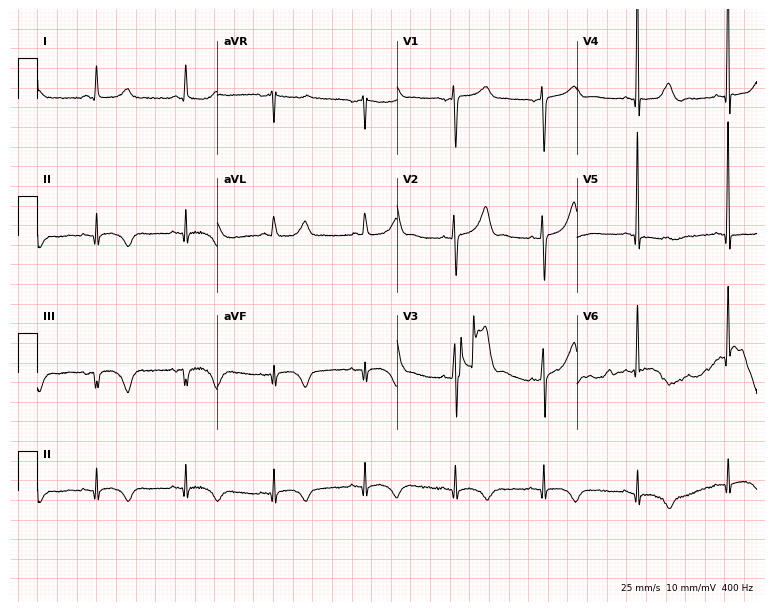
12-lead ECG from a 75-year-old woman. No first-degree AV block, right bundle branch block, left bundle branch block, sinus bradycardia, atrial fibrillation or sinus tachycardia recorded for this tracing.